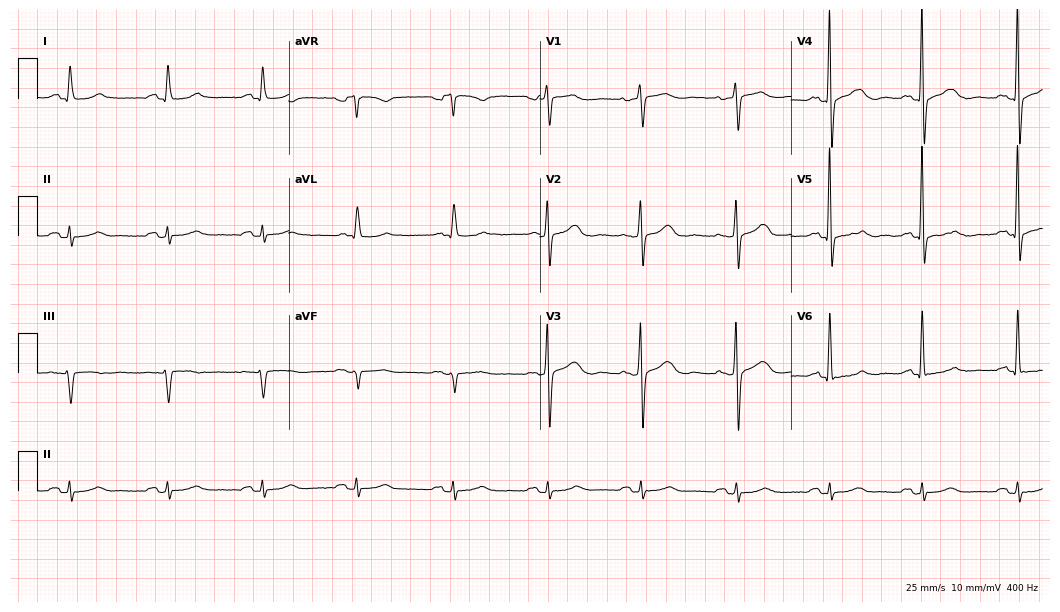
Standard 12-lead ECG recorded from a 72-year-old woman (10.2-second recording at 400 Hz). Read as a normal ECG.